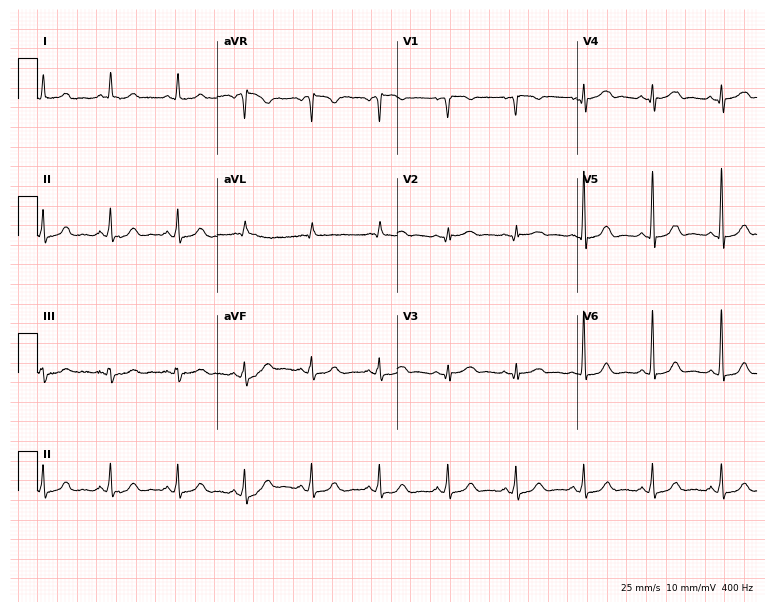
12-lead ECG from a 70-year-old female patient (7.3-second recording at 400 Hz). Recorded interpretation: within normal limits.